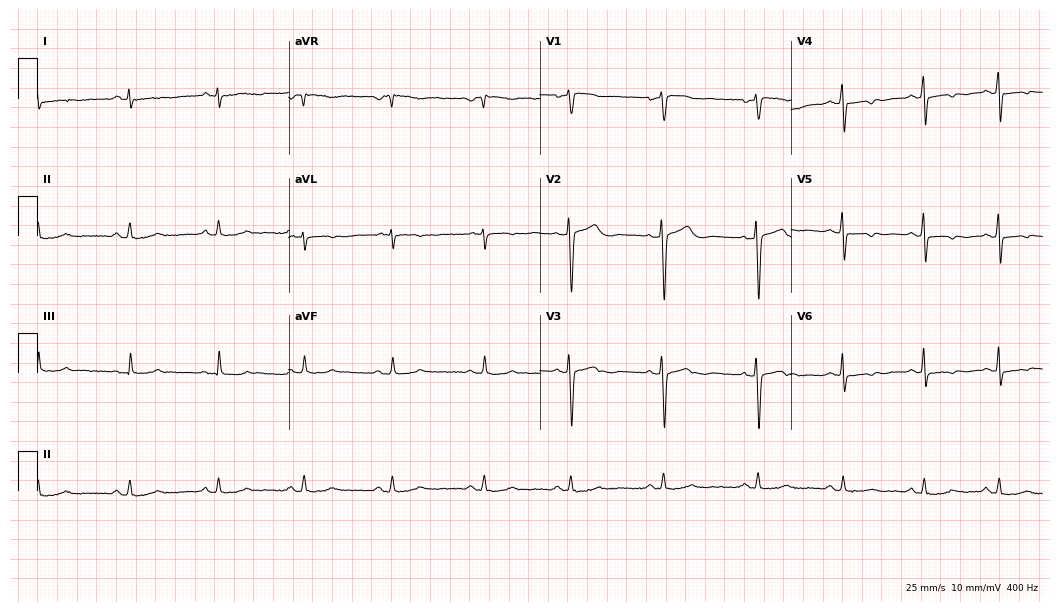
Electrocardiogram, a woman, 44 years old. Of the six screened findings (first-degree AV block, right bundle branch block, left bundle branch block, sinus bradycardia, atrial fibrillation, sinus tachycardia), none is recorded.